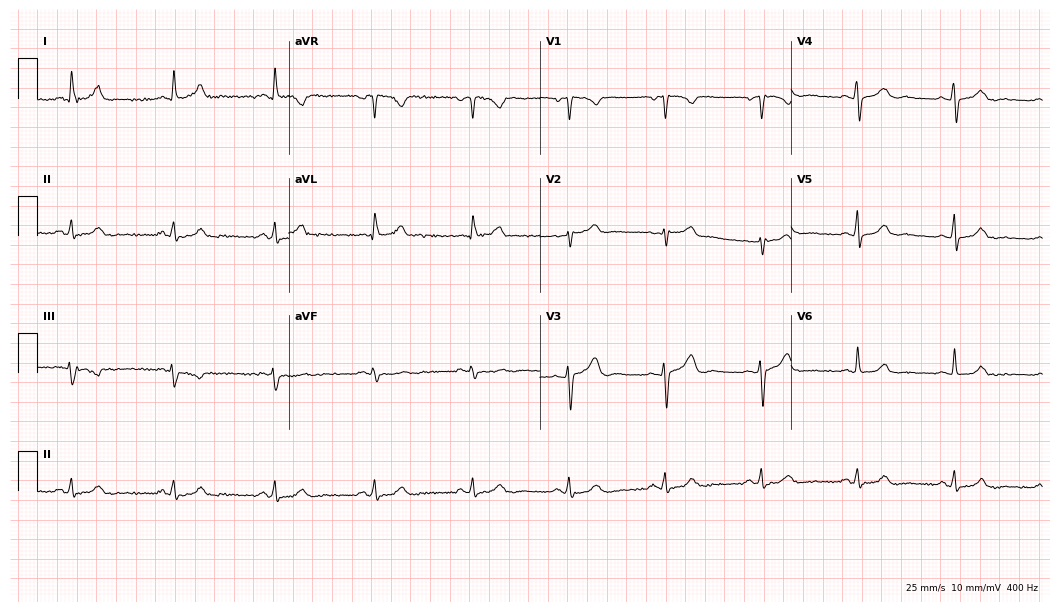
12-lead ECG from a 46-year-old female (10.2-second recording at 400 Hz). Recorded interpretation: within normal limits.